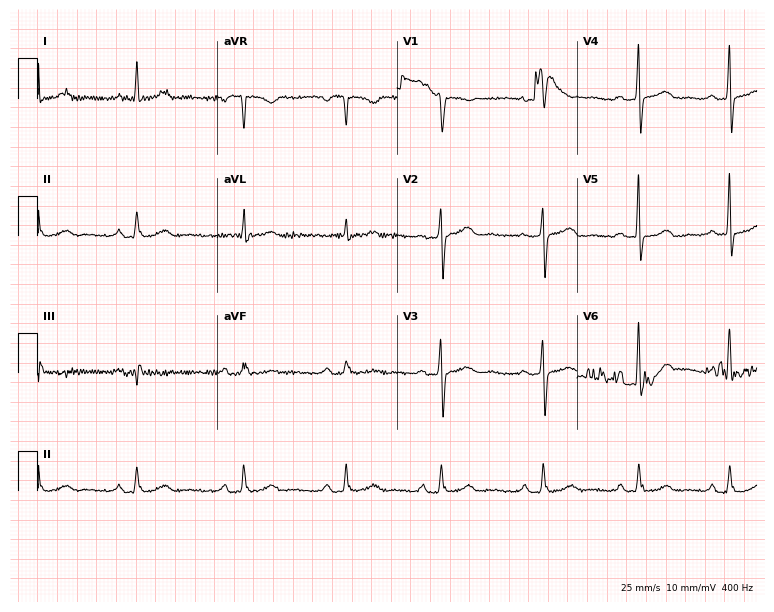
Resting 12-lead electrocardiogram. Patient: a female, 62 years old. None of these six findings is recorded: first-degree AV block, right bundle branch block, left bundle branch block, sinus bradycardia, atrial fibrillation, sinus tachycardia.